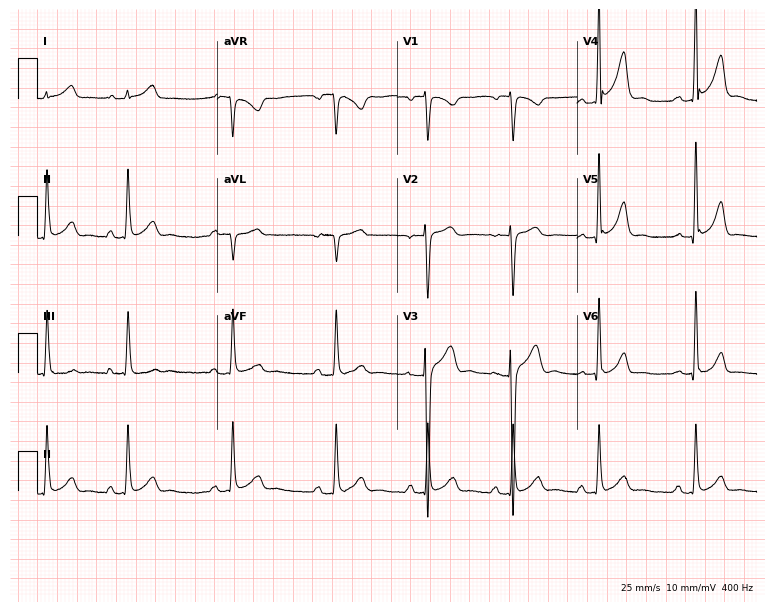
ECG (7.3-second recording at 400 Hz) — a male patient, 24 years old. Screened for six findings — first-degree AV block, right bundle branch block, left bundle branch block, sinus bradycardia, atrial fibrillation, sinus tachycardia — none is recorded. Only these six findings were labelled.